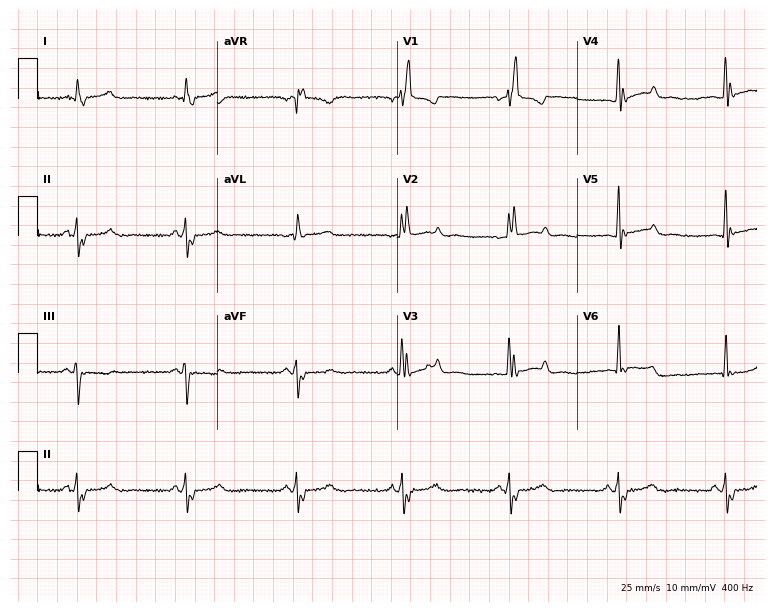
Standard 12-lead ECG recorded from a man, 77 years old (7.3-second recording at 400 Hz). The tracing shows right bundle branch block.